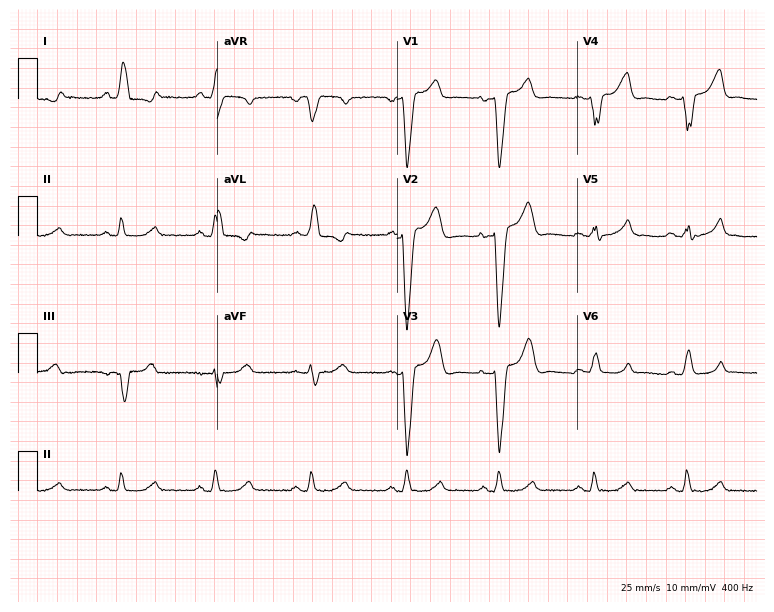
Resting 12-lead electrocardiogram. Patient: a woman, 63 years old. The tracing shows left bundle branch block (LBBB).